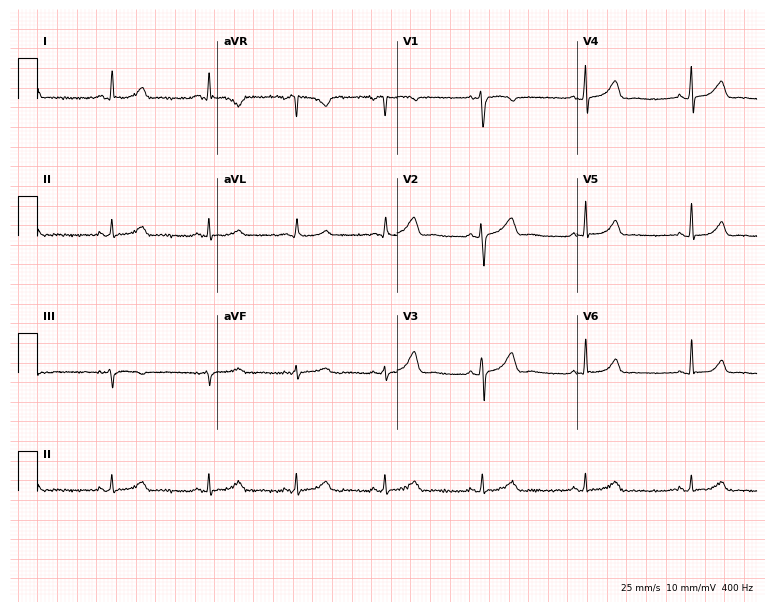
Resting 12-lead electrocardiogram (7.3-second recording at 400 Hz). Patient: a female, 29 years old. Read as a normal ECG.